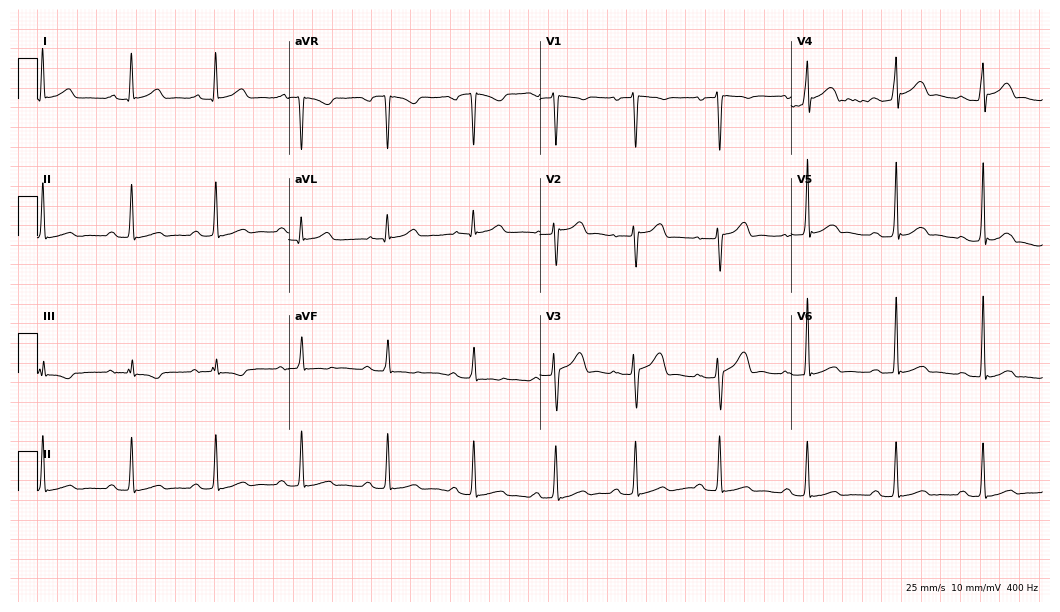
Resting 12-lead electrocardiogram (10.2-second recording at 400 Hz). Patient: a 37-year-old man. Read as a normal ECG.